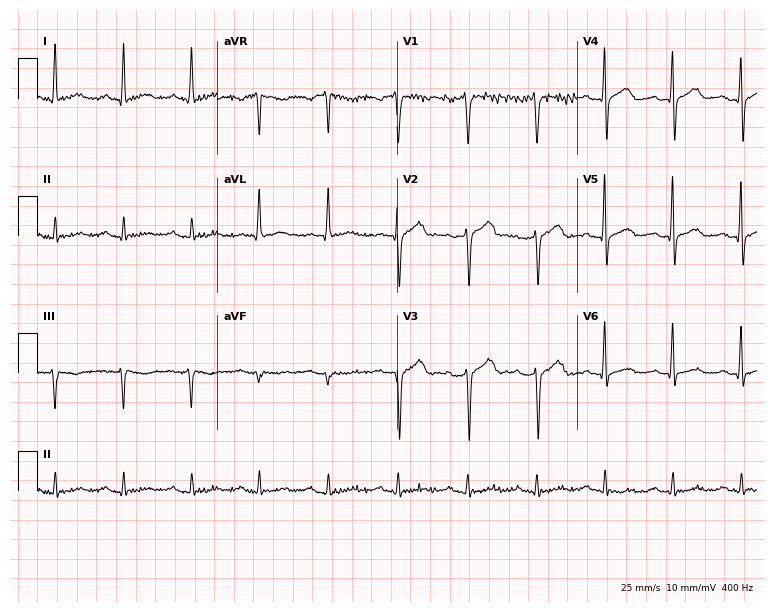
ECG (7.3-second recording at 400 Hz) — a man, 72 years old. Screened for six findings — first-degree AV block, right bundle branch block, left bundle branch block, sinus bradycardia, atrial fibrillation, sinus tachycardia — none is recorded.